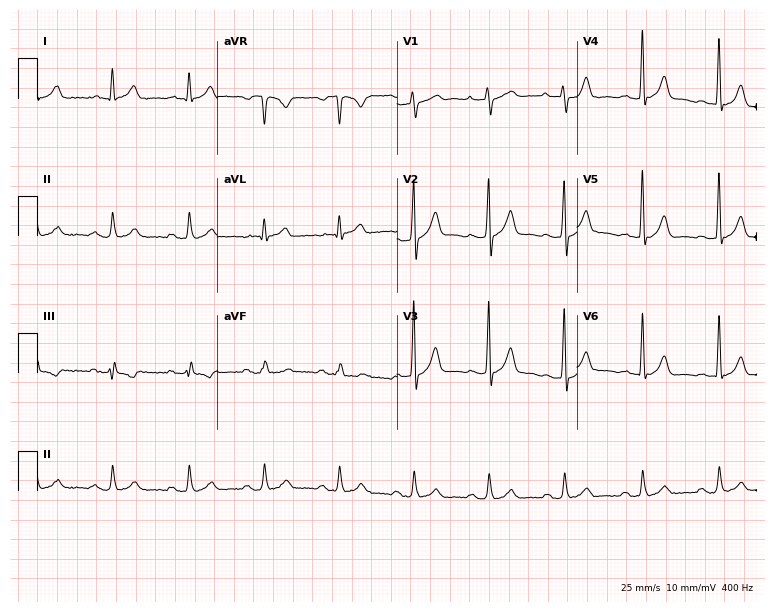
Standard 12-lead ECG recorded from a 48-year-old male patient (7.3-second recording at 400 Hz). None of these six findings is recorded: first-degree AV block, right bundle branch block, left bundle branch block, sinus bradycardia, atrial fibrillation, sinus tachycardia.